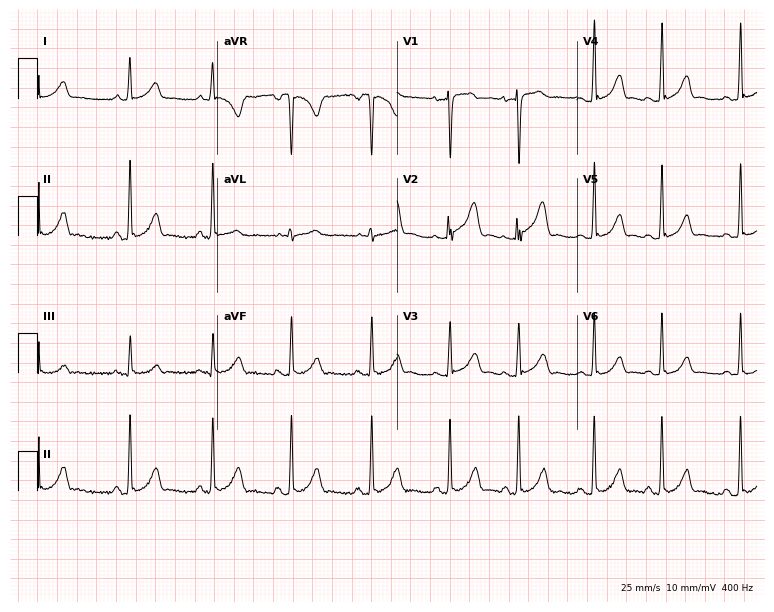
Electrocardiogram, an 18-year-old female patient. Overall reading on record: normal ECG.